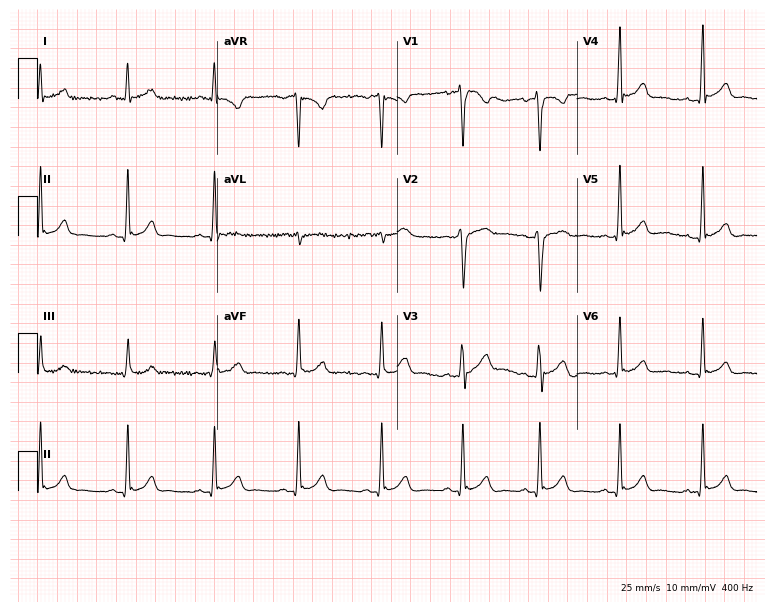
12-lead ECG (7.3-second recording at 400 Hz) from a man, 45 years old. Labelled as a normal ECG.